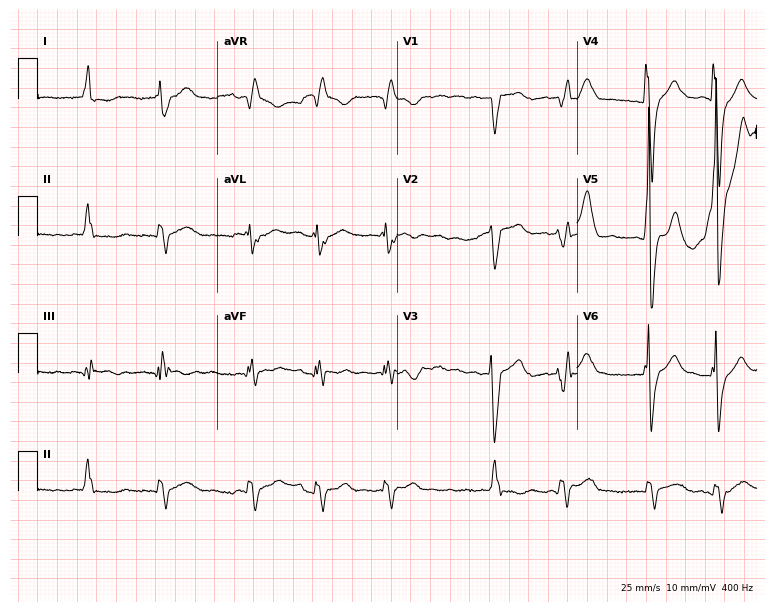
Electrocardiogram (7.3-second recording at 400 Hz), a 68-year-old female patient. Interpretation includes left bundle branch block, atrial fibrillation.